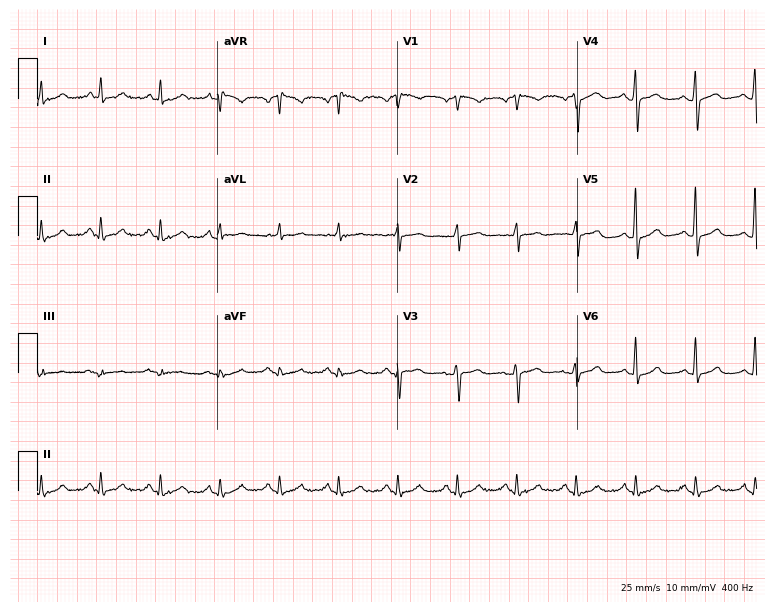
12-lead ECG (7.3-second recording at 400 Hz) from a 74-year-old male patient. Labelled as a normal ECG.